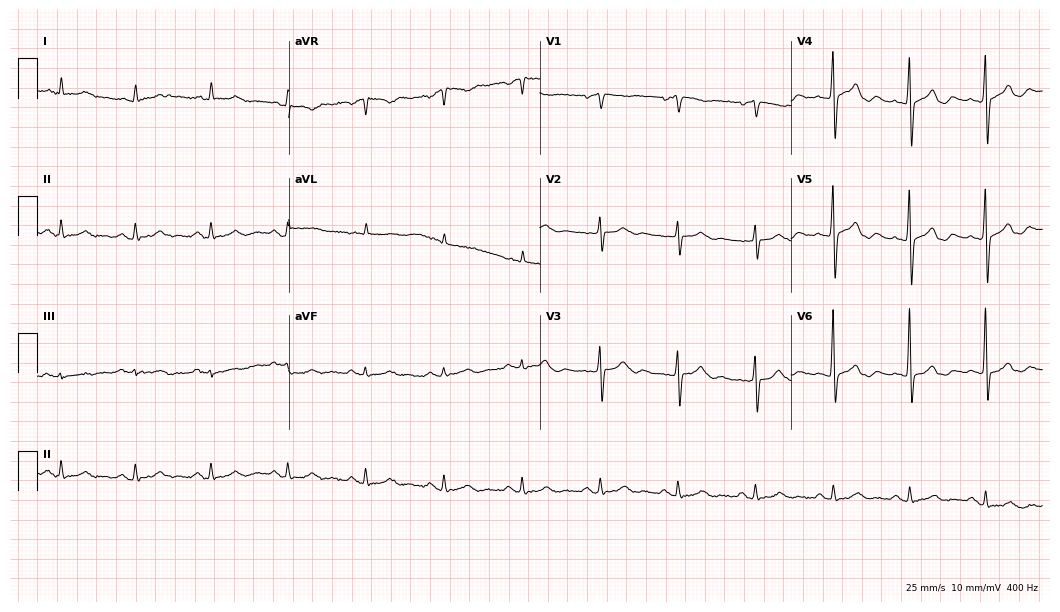
Resting 12-lead electrocardiogram (10.2-second recording at 400 Hz). Patient: a female, 84 years old. None of these six findings is recorded: first-degree AV block, right bundle branch block, left bundle branch block, sinus bradycardia, atrial fibrillation, sinus tachycardia.